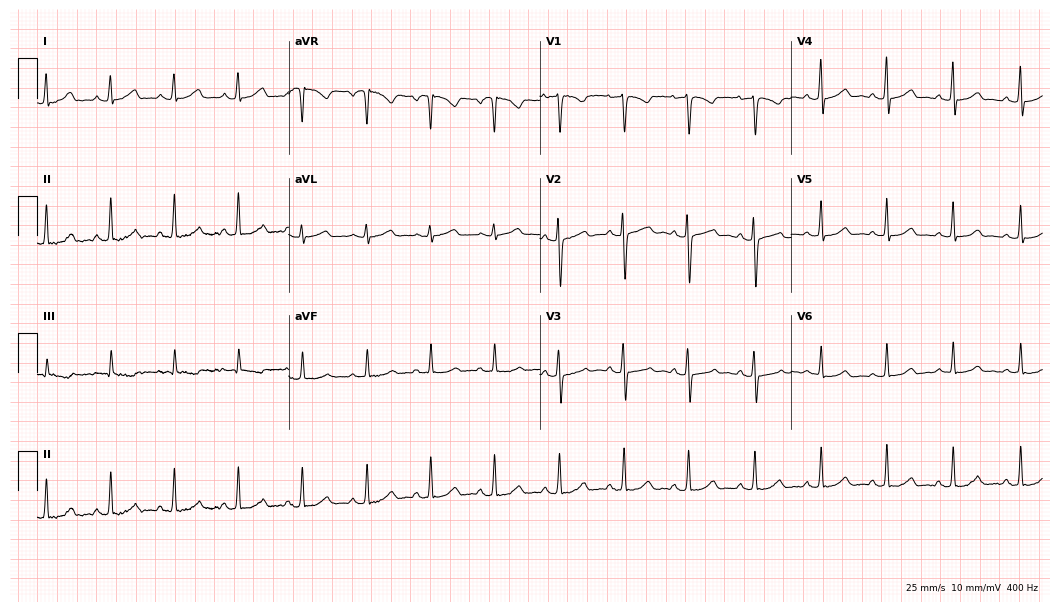
Electrocardiogram, a 26-year-old female. Overall reading on record: normal ECG.